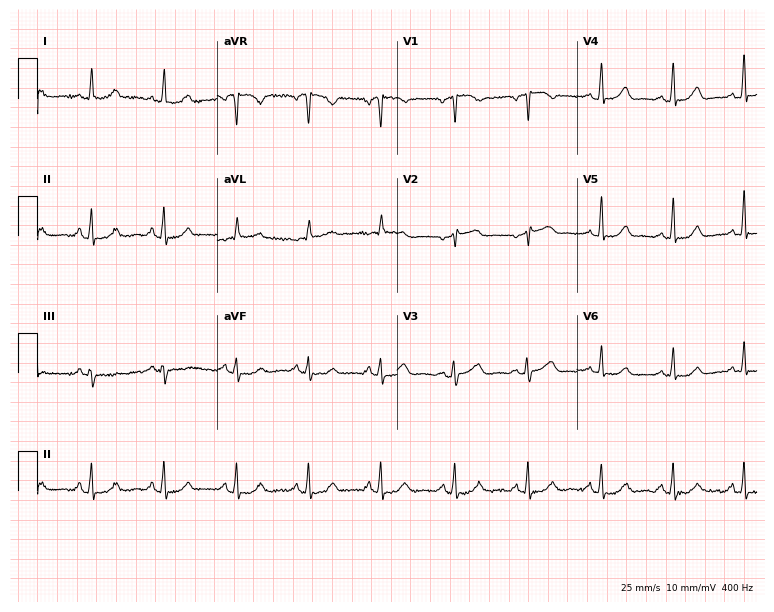
Standard 12-lead ECG recorded from a 74-year-old woman (7.3-second recording at 400 Hz). None of these six findings is recorded: first-degree AV block, right bundle branch block (RBBB), left bundle branch block (LBBB), sinus bradycardia, atrial fibrillation (AF), sinus tachycardia. Other findings, if any, are not listed.